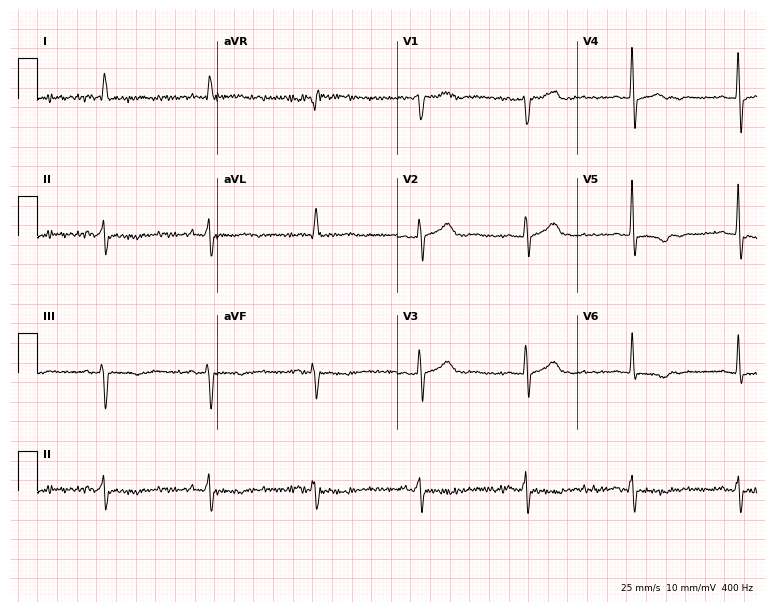
ECG — a male patient, 70 years old. Screened for six findings — first-degree AV block, right bundle branch block, left bundle branch block, sinus bradycardia, atrial fibrillation, sinus tachycardia — none is recorded. Other findings, if any, are not listed.